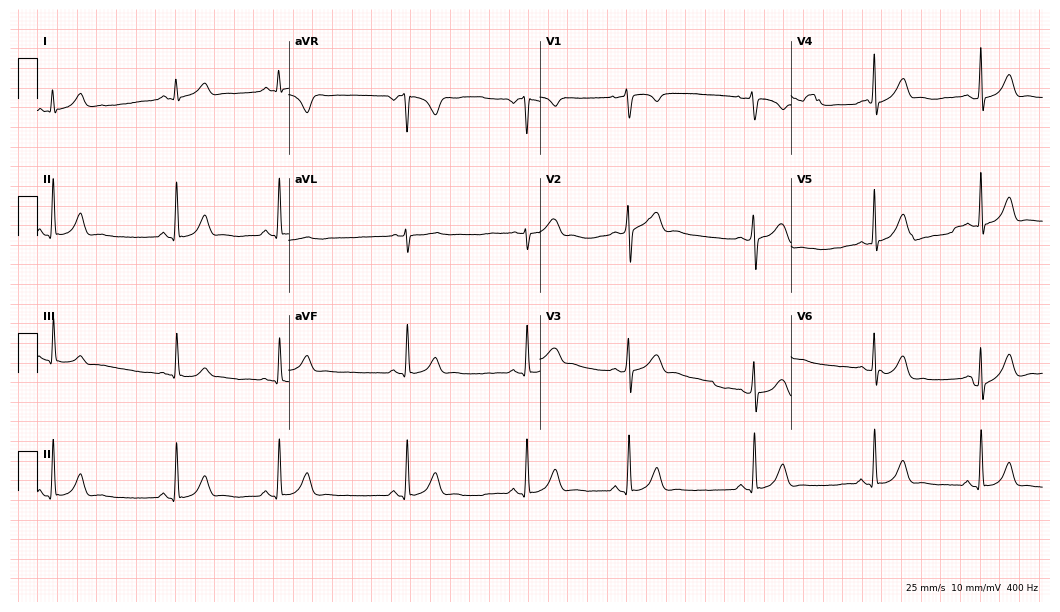
Electrocardiogram (10.2-second recording at 400 Hz), a female patient, 17 years old. Overall reading on record: normal ECG.